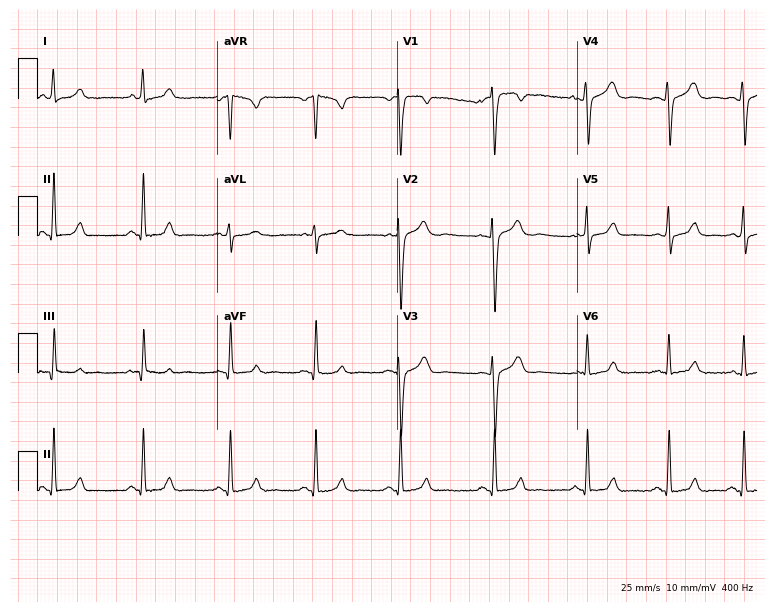
12-lead ECG (7.3-second recording at 400 Hz) from a female, 19 years old. Labelled as a normal ECG.